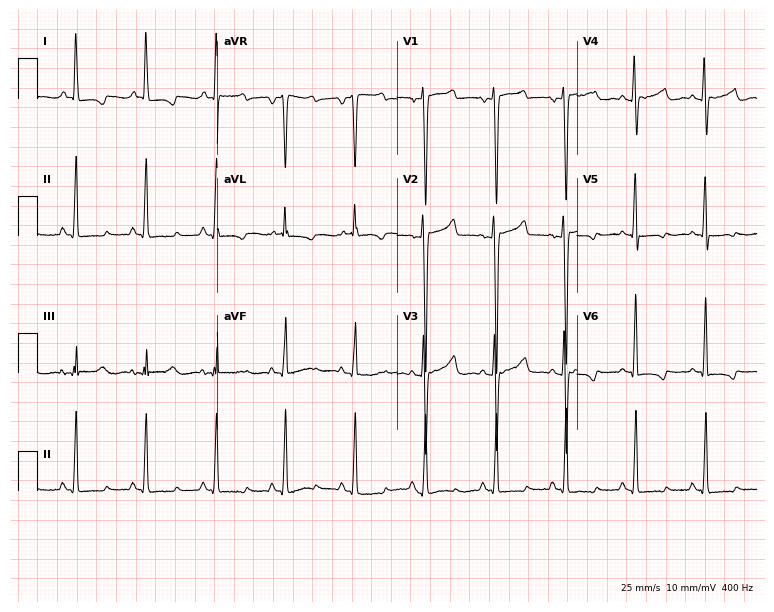
12-lead ECG from a female, 24 years old. No first-degree AV block, right bundle branch block (RBBB), left bundle branch block (LBBB), sinus bradycardia, atrial fibrillation (AF) or sinus tachycardia recorded for this tracing.